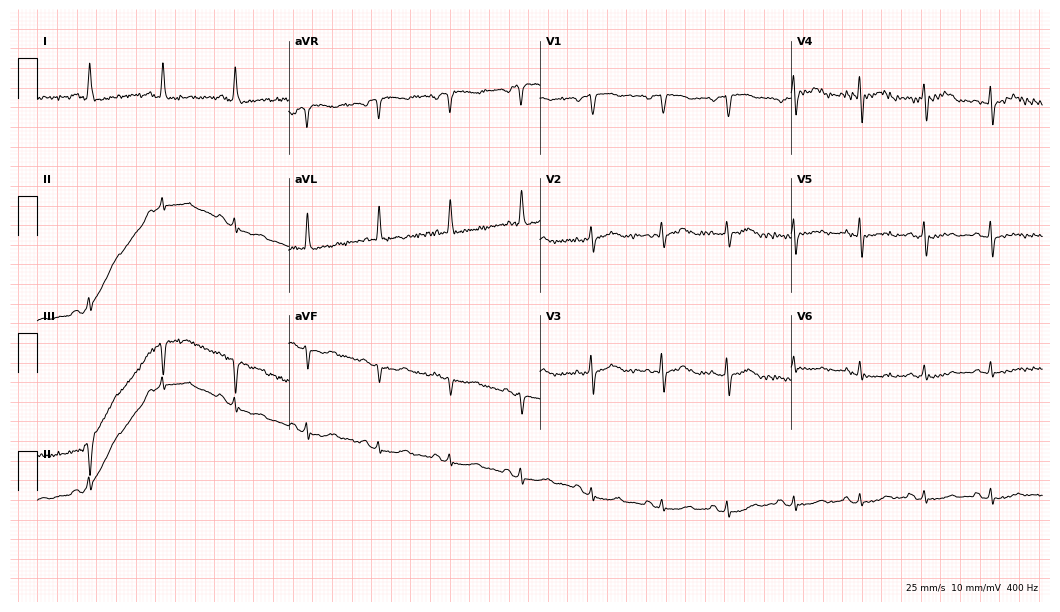
Resting 12-lead electrocardiogram. Patient: a female, 86 years old. None of these six findings is recorded: first-degree AV block, right bundle branch block, left bundle branch block, sinus bradycardia, atrial fibrillation, sinus tachycardia.